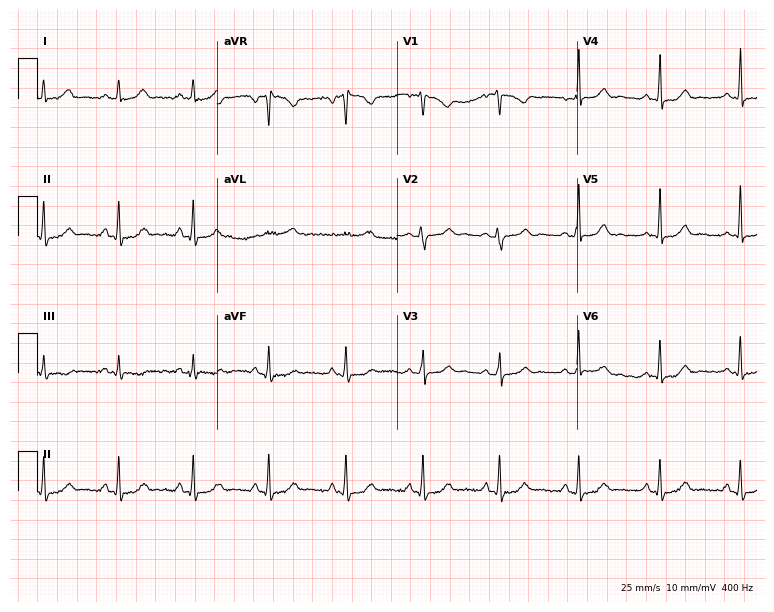
12-lead ECG from a 33-year-old woman. Recorded interpretation: within normal limits.